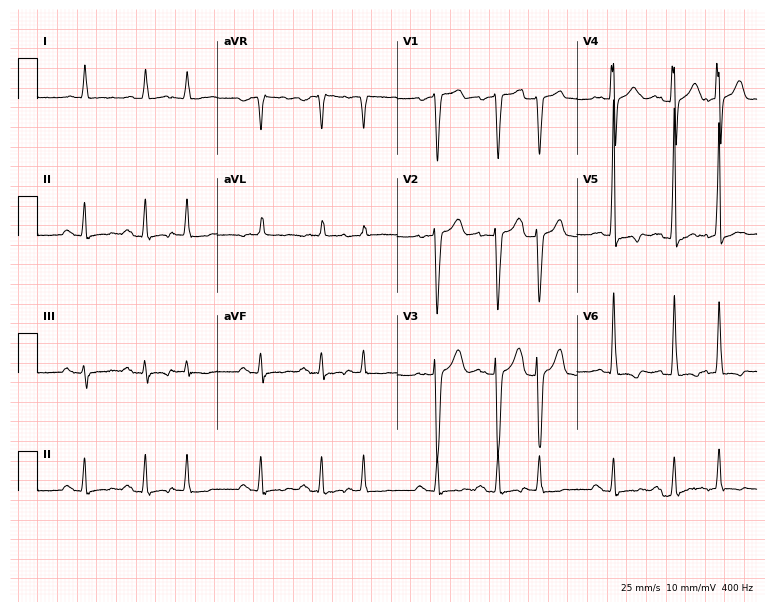
12-lead ECG from a male, 73 years old (7.3-second recording at 400 Hz). No first-degree AV block, right bundle branch block, left bundle branch block, sinus bradycardia, atrial fibrillation or sinus tachycardia recorded for this tracing. Only these six findings were labelled.